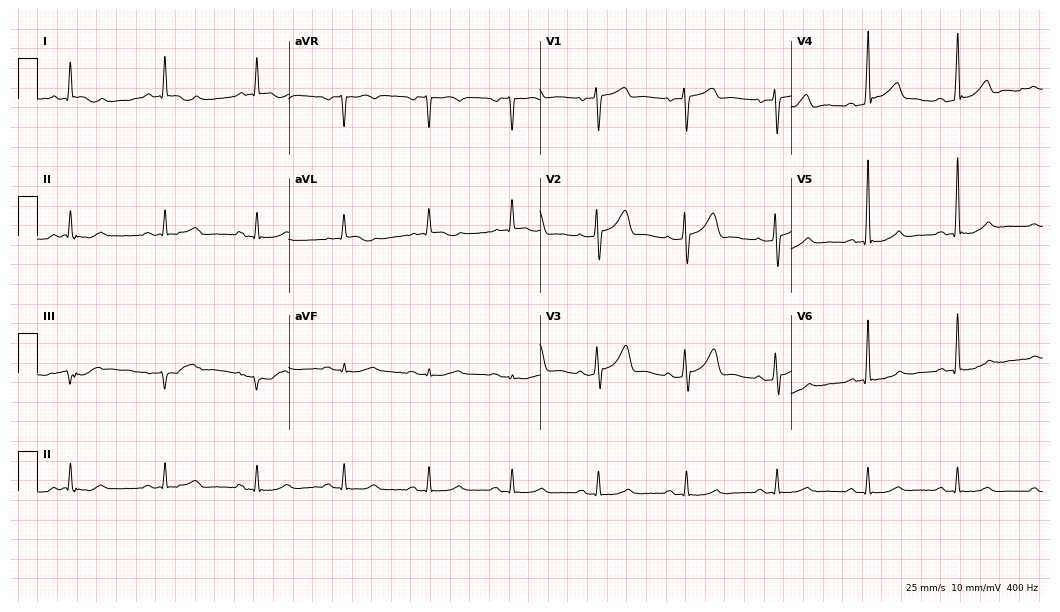
Resting 12-lead electrocardiogram (10.2-second recording at 400 Hz). Patient: a 64-year-old male. None of these six findings is recorded: first-degree AV block, right bundle branch block (RBBB), left bundle branch block (LBBB), sinus bradycardia, atrial fibrillation (AF), sinus tachycardia. Findings outside these six are not listed.